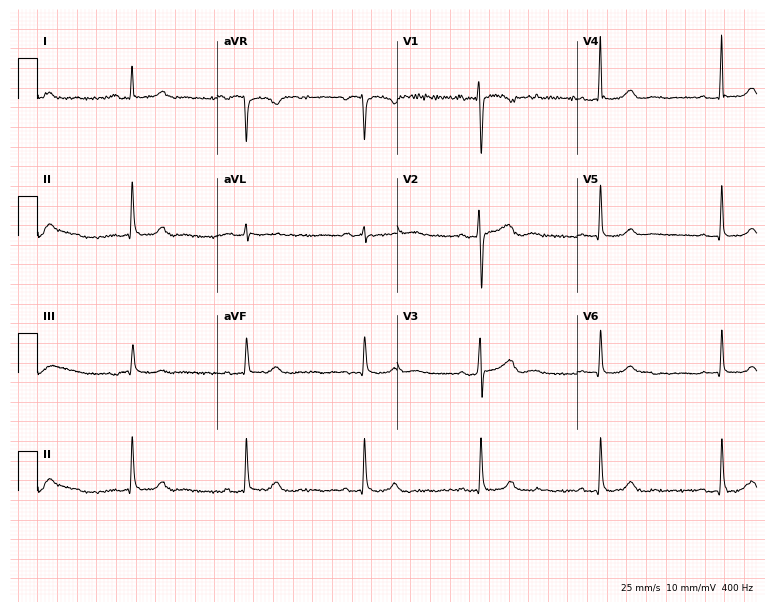
ECG — a woman, 65 years old. Screened for six findings — first-degree AV block, right bundle branch block, left bundle branch block, sinus bradycardia, atrial fibrillation, sinus tachycardia — none is recorded.